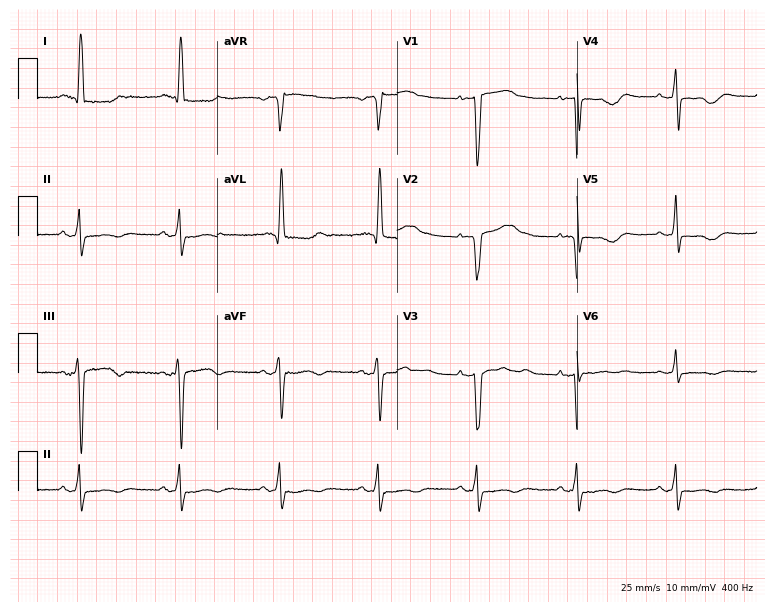
12-lead ECG (7.3-second recording at 400 Hz) from a woman, 80 years old. Labelled as a normal ECG.